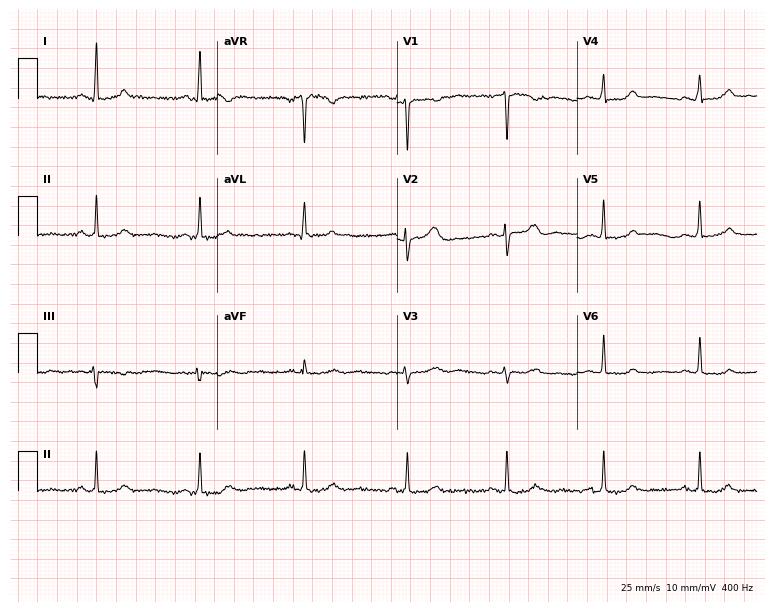
Resting 12-lead electrocardiogram (7.3-second recording at 400 Hz). Patient: a 56-year-old woman. None of these six findings is recorded: first-degree AV block, right bundle branch block, left bundle branch block, sinus bradycardia, atrial fibrillation, sinus tachycardia. Other findings, if any, are not listed.